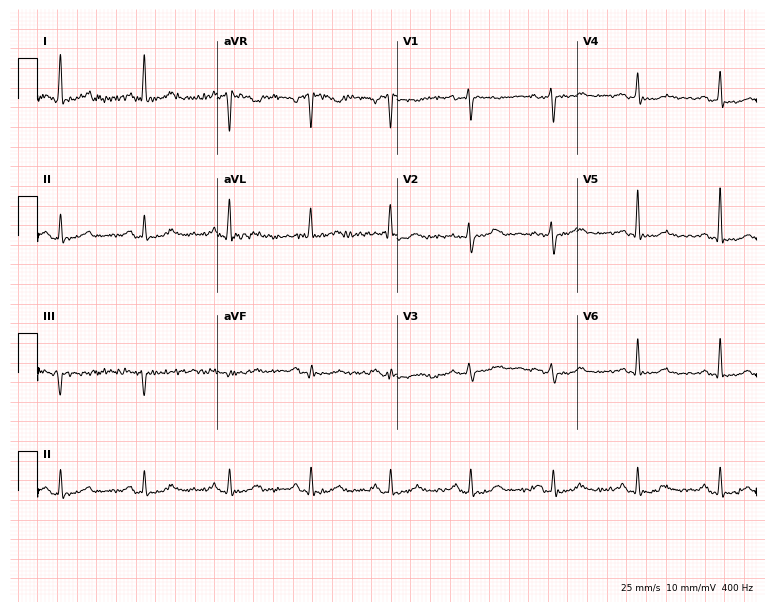
12-lead ECG from a 50-year-old female. No first-degree AV block, right bundle branch block, left bundle branch block, sinus bradycardia, atrial fibrillation or sinus tachycardia recorded for this tracing.